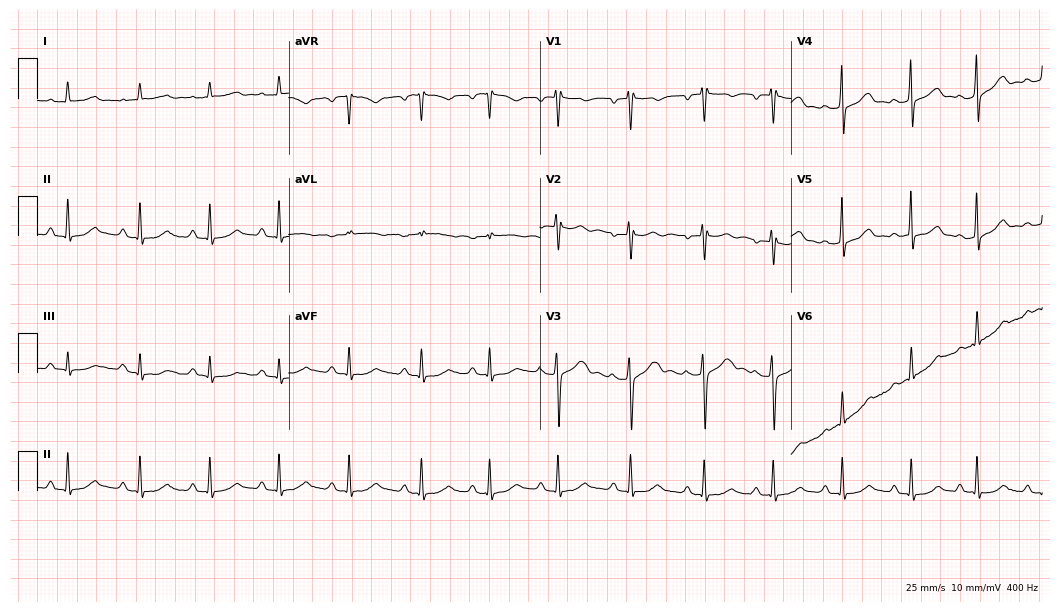
Resting 12-lead electrocardiogram. Patient: a female, 35 years old. Read as a normal ECG.